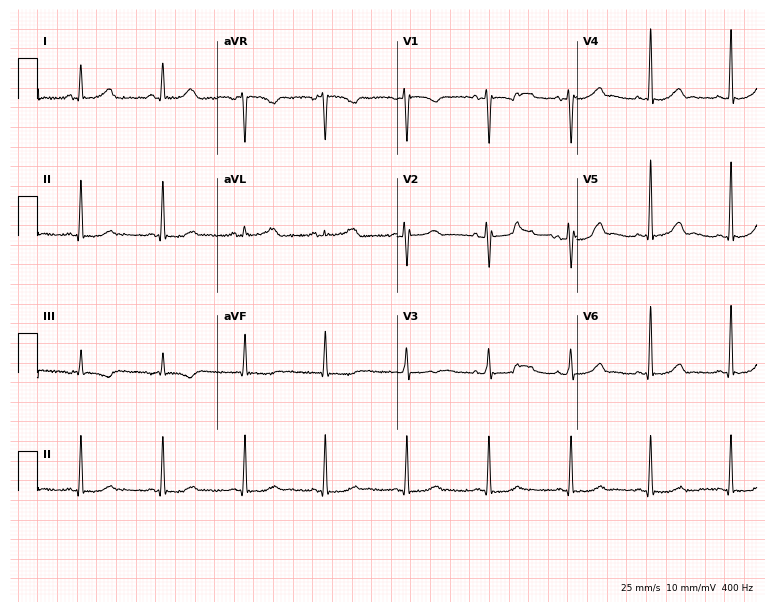
12-lead ECG from a 42-year-old female (7.3-second recording at 400 Hz). Recorded interpretation: within normal limits.